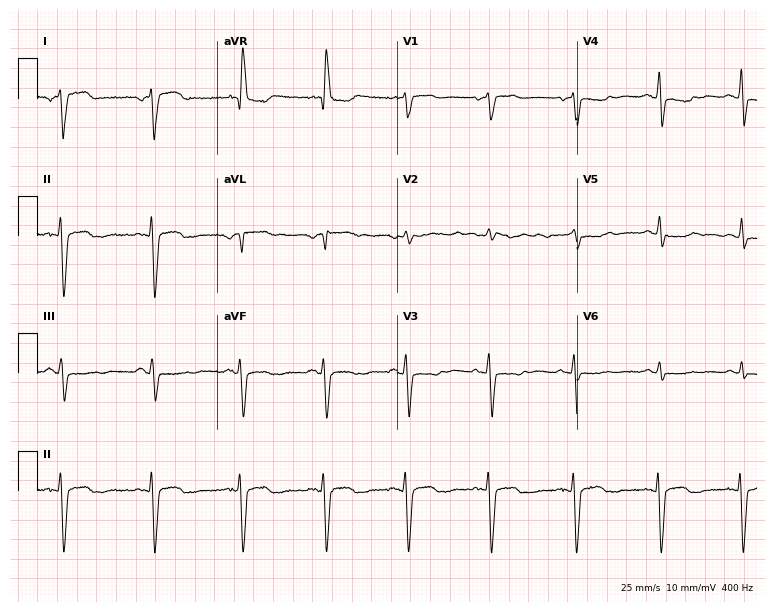
Standard 12-lead ECG recorded from a female patient, 58 years old (7.3-second recording at 400 Hz). None of these six findings is recorded: first-degree AV block, right bundle branch block (RBBB), left bundle branch block (LBBB), sinus bradycardia, atrial fibrillation (AF), sinus tachycardia.